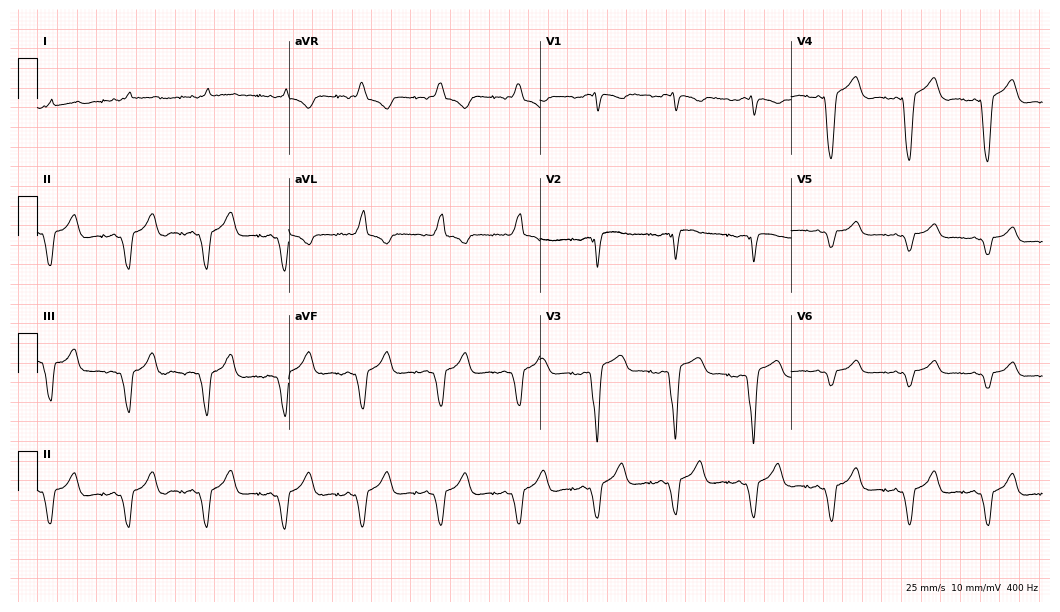
12-lead ECG from a 64-year-old woman. Screened for six findings — first-degree AV block, right bundle branch block, left bundle branch block, sinus bradycardia, atrial fibrillation, sinus tachycardia — none is recorded. Findings outside these six are not listed.